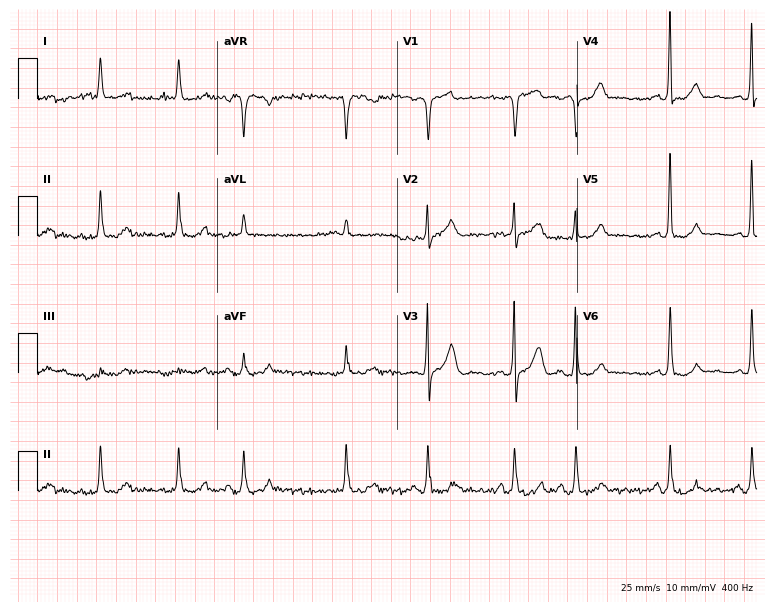
Standard 12-lead ECG recorded from a male, 85 years old. None of these six findings is recorded: first-degree AV block, right bundle branch block (RBBB), left bundle branch block (LBBB), sinus bradycardia, atrial fibrillation (AF), sinus tachycardia. Other findings, if any, are not listed.